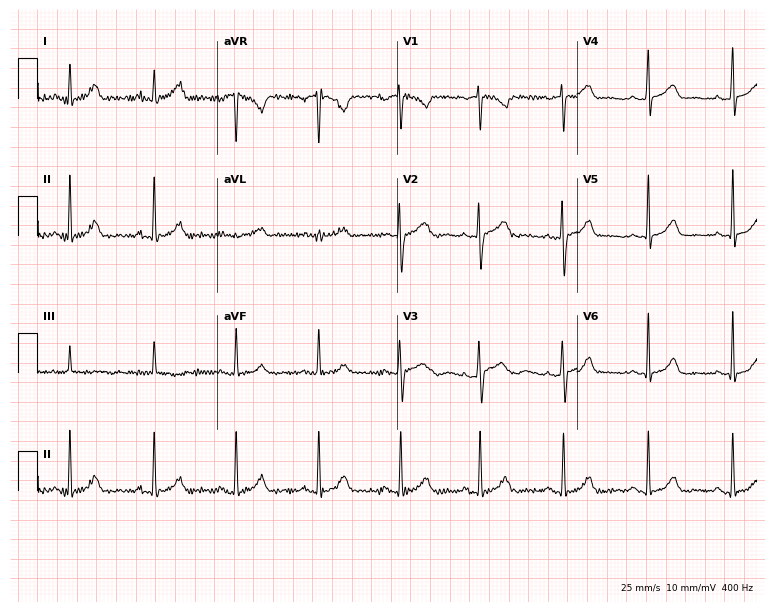
12-lead ECG from a female patient, 17 years old. Screened for six findings — first-degree AV block, right bundle branch block (RBBB), left bundle branch block (LBBB), sinus bradycardia, atrial fibrillation (AF), sinus tachycardia — none is recorded.